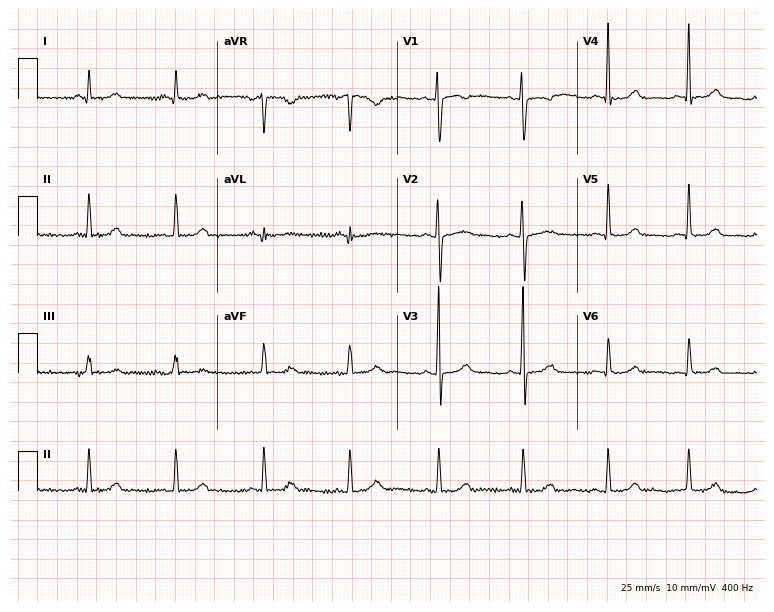
Resting 12-lead electrocardiogram (7.3-second recording at 400 Hz). Patient: a female, 33 years old. None of these six findings is recorded: first-degree AV block, right bundle branch block, left bundle branch block, sinus bradycardia, atrial fibrillation, sinus tachycardia. Other findings, if any, are not listed.